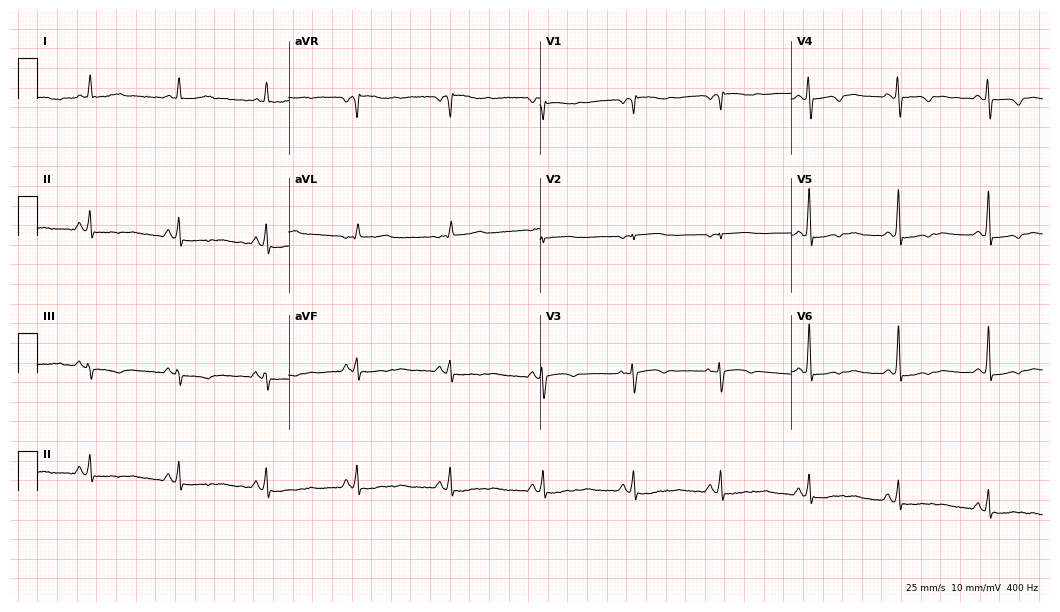
Electrocardiogram, a female patient, 65 years old. Of the six screened findings (first-degree AV block, right bundle branch block, left bundle branch block, sinus bradycardia, atrial fibrillation, sinus tachycardia), none is recorded. Findings outside these six are not listed.